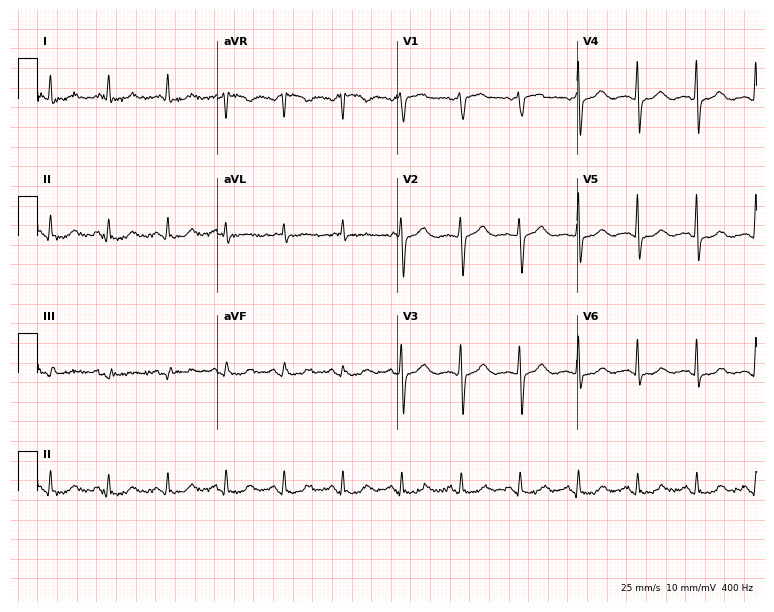
Standard 12-lead ECG recorded from a woman, 77 years old (7.3-second recording at 400 Hz). None of these six findings is recorded: first-degree AV block, right bundle branch block, left bundle branch block, sinus bradycardia, atrial fibrillation, sinus tachycardia. Only these six findings were labelled.